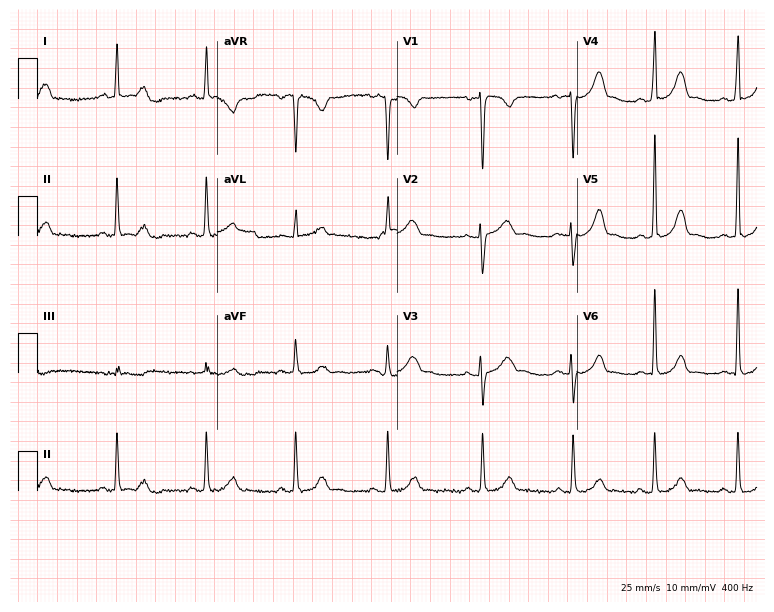
12-lead ECG (7.3-second recording at 400 Hz) from a 35-year-old woman. Labelled as a normal ECG.